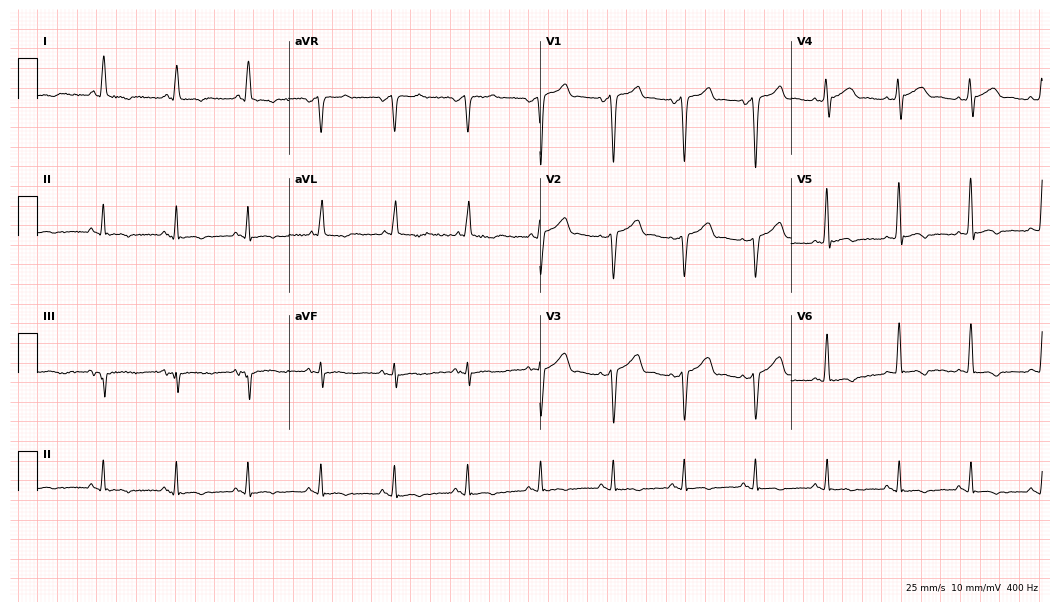
ECG (10.2-second recording at 400 Hz) — a male patient, 58 years old. Screened for six findings — first-degree AV block, right bundle branch block, left bundle branch block, sinus bradycardia, atrial fibrillation, sinus tachycardia — none is recorded. Only these six findings were labelled.